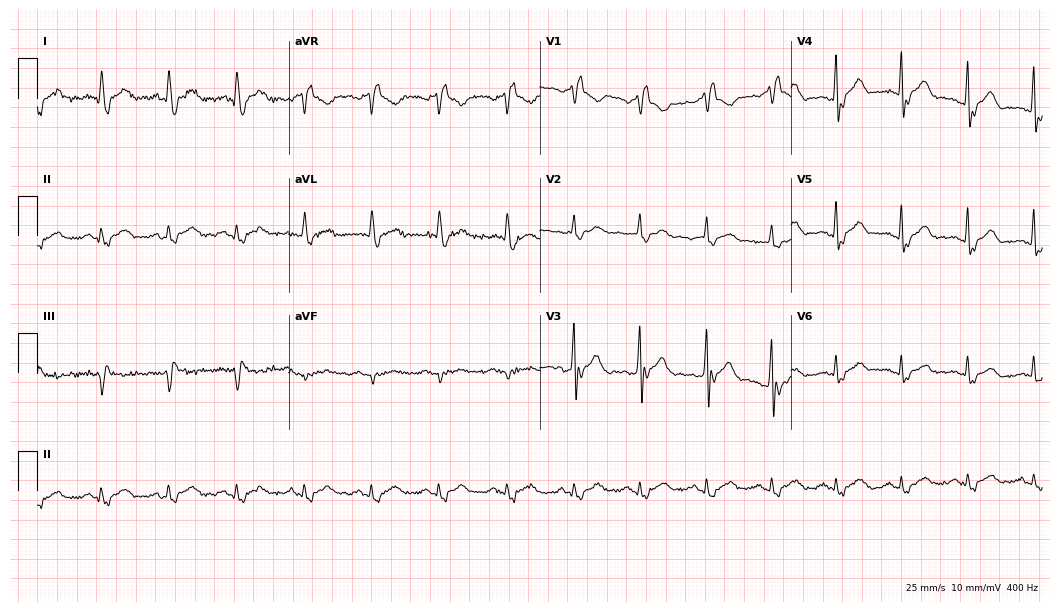
Standard 12-lead ECG recorded from a male, 54 years old (10.2-second recording at 400 Hz). The tracing shows right bundle branch block (RBBB).